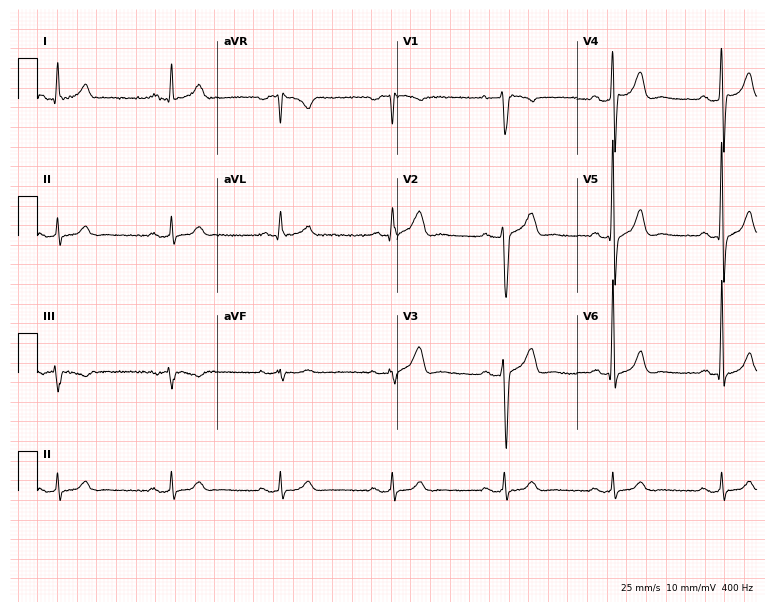
ECG (7.3-second recording at 400 Hz) — a 38-year-old male. Screened for six findings — first-degree AV block, right bundle branch block (RBBB), left bundle branch block (LBBB), sinus bradycardia, atrial fibrillation (AF), sinus tachycardia — none is recorded.